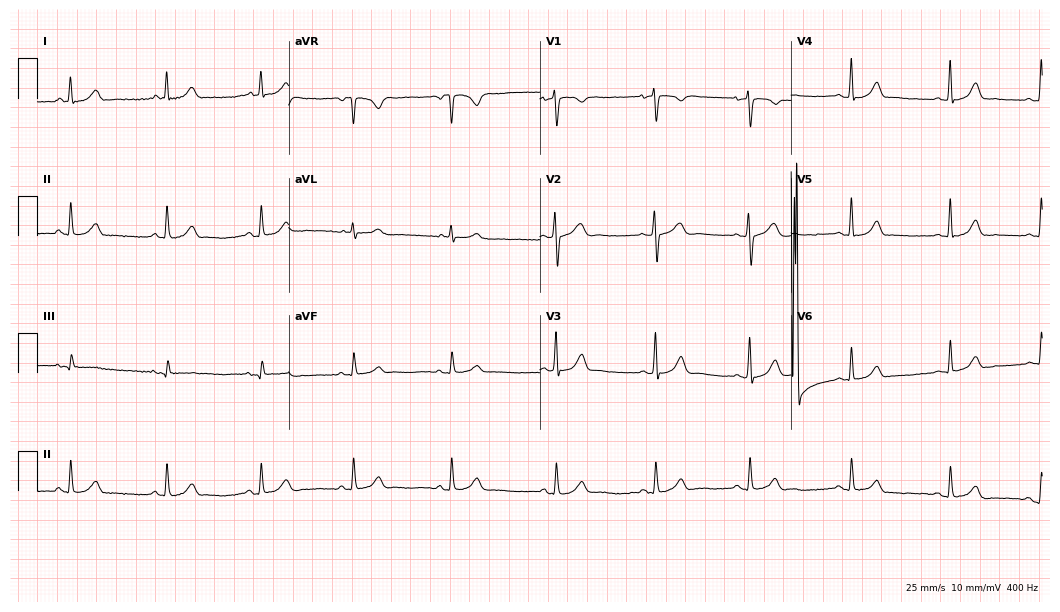
ECG — a female patient, 28 years old. Labelled as a normal ECG.